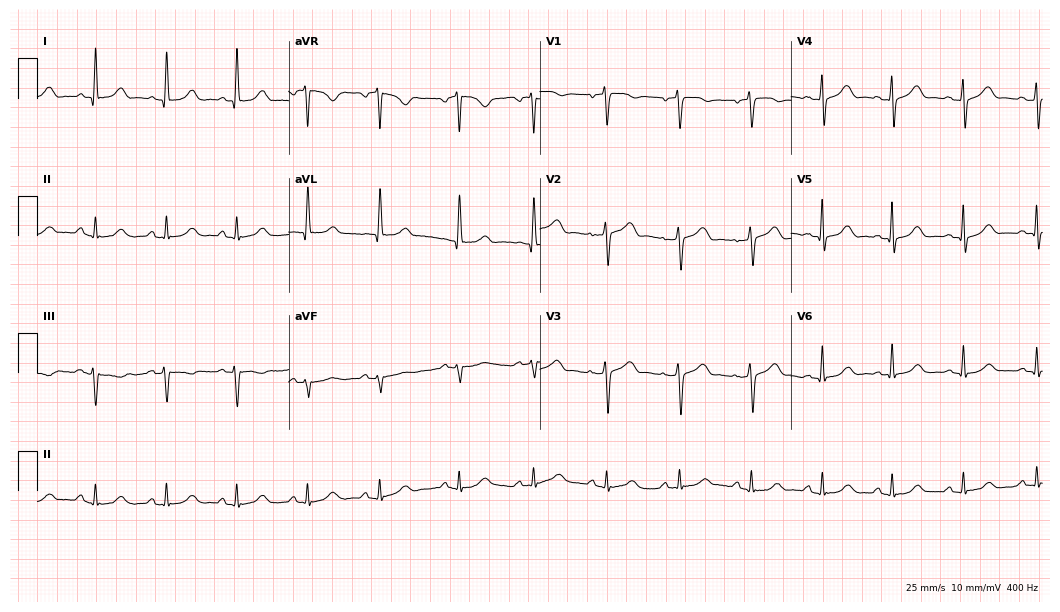
Resting 12-lead electrocardiogram. Patient: a female, 61 years old. Read as a normal ECG.